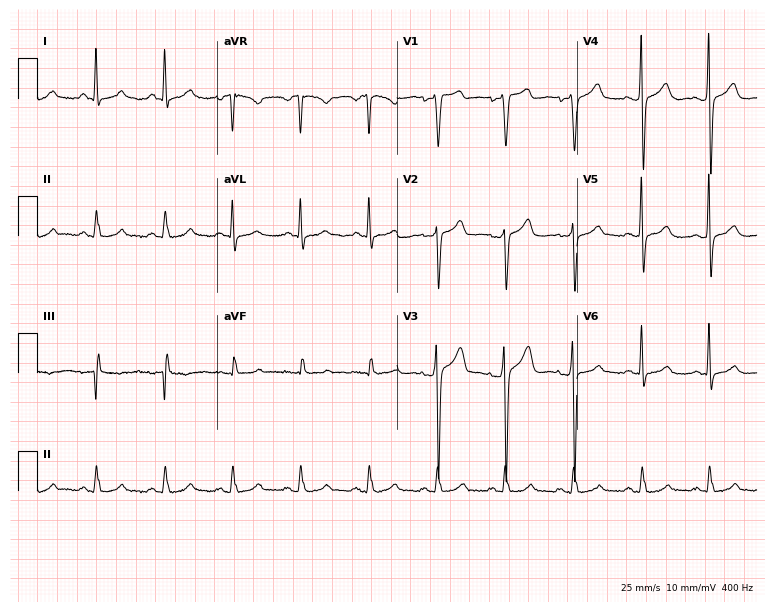
Electrocardiogram (7.3-second recording at 400 Hz), a female patient, 50 years old. Of the six screened findings (first-degree AV block, right bundle branch block, left bundle branch block, sinus bradycardia, atrial fibrillation, sinus tachycardia), none is recorded. Other findings, if any, are not listed.